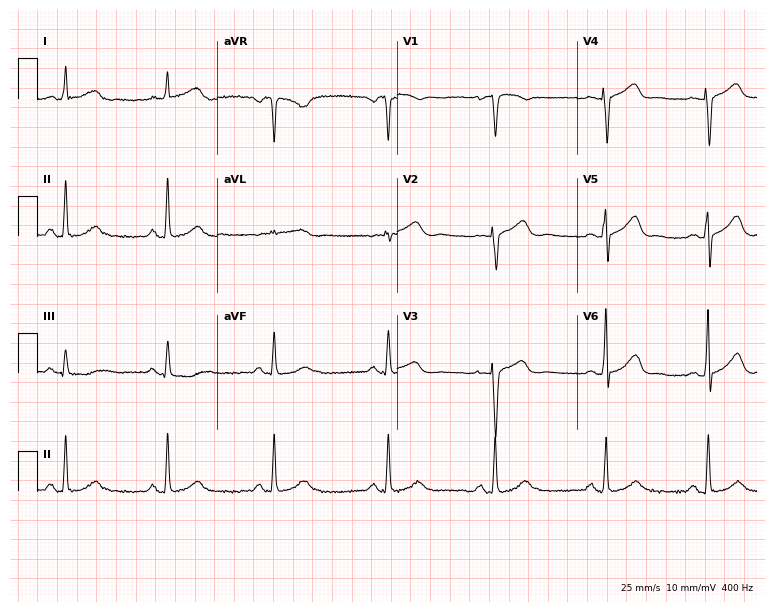
Electrocardiogram, a female patient, 59 years old. Overall reading on record: normal ECG.